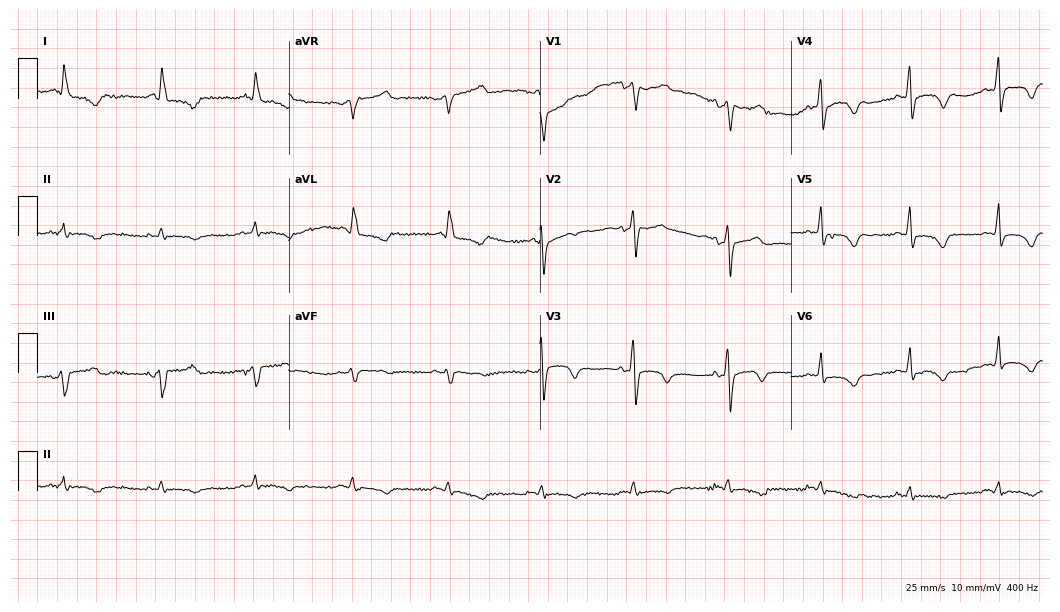
ECG (10.2-second recording at 400 Hz) — a woman, 79 years old. Screened for six findings — first-degree AV block, right bundle branch block, left bundle branch block, sinus bradycardia, atrial fibrillation, sinus tachycardia — none is recorded.